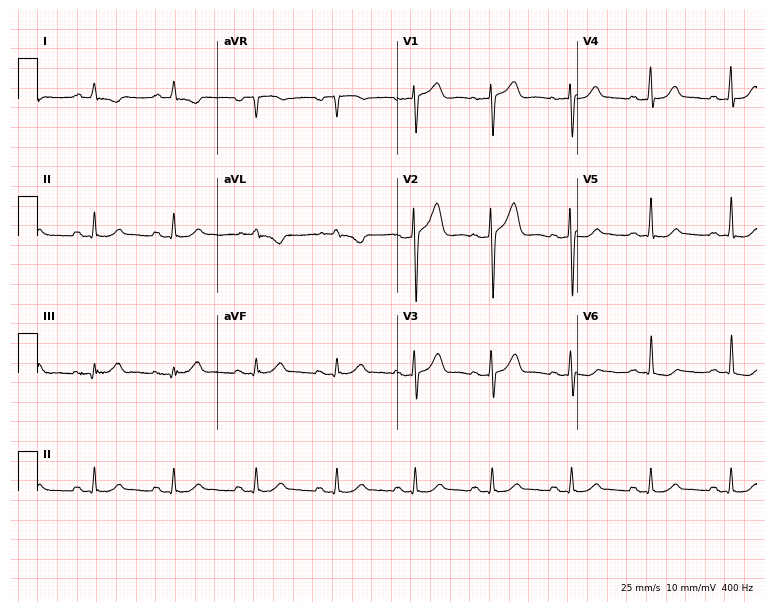
12-lead ECG from a male, 40 years old. Screened for six findings — first-degree AV block, right bundle branch block, left bundle branch block, sinus bradycardia, atrial fibrillation, sinus tachycardia — none is recorded.